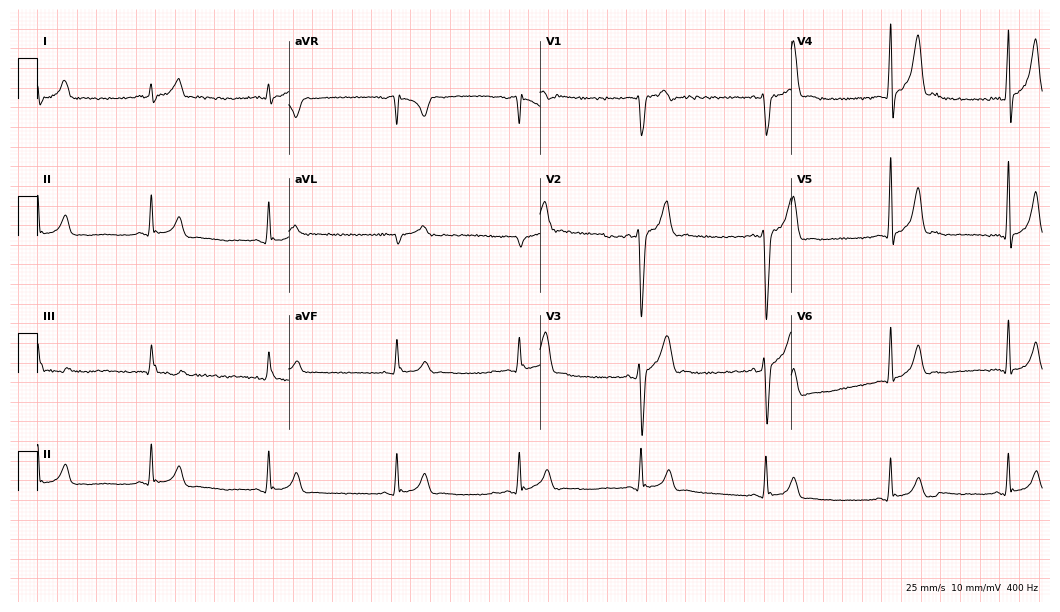
Electrocardiogram, a man, 23 years old. Overall reading on record: normal ECG.